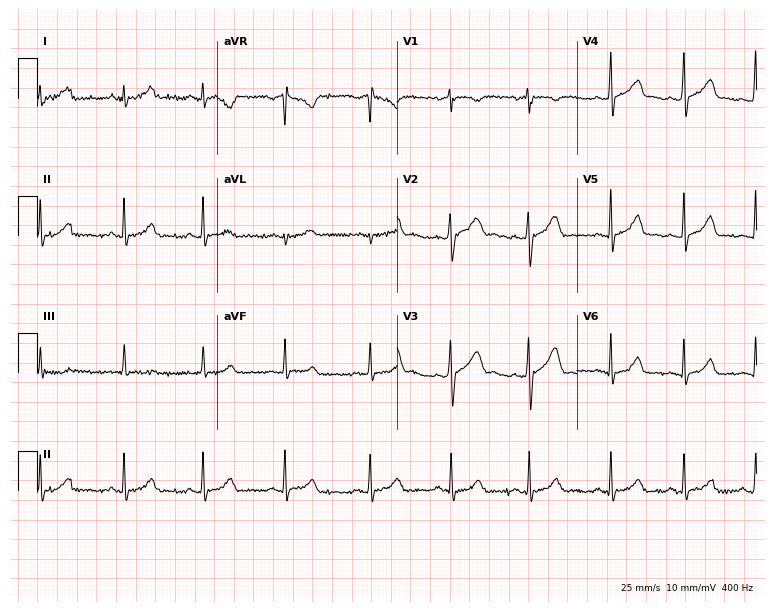
12-lead ECG (7.3-second recording at 400 Hz) from a female, 19 years old. Screened for six findings — first-degree AV block, right bundle branch block (RBBB), left bundle branch block (LBBB), sinus bradycardia, atrial fibrillation (AF), sinus tachycardia — none is recorded.